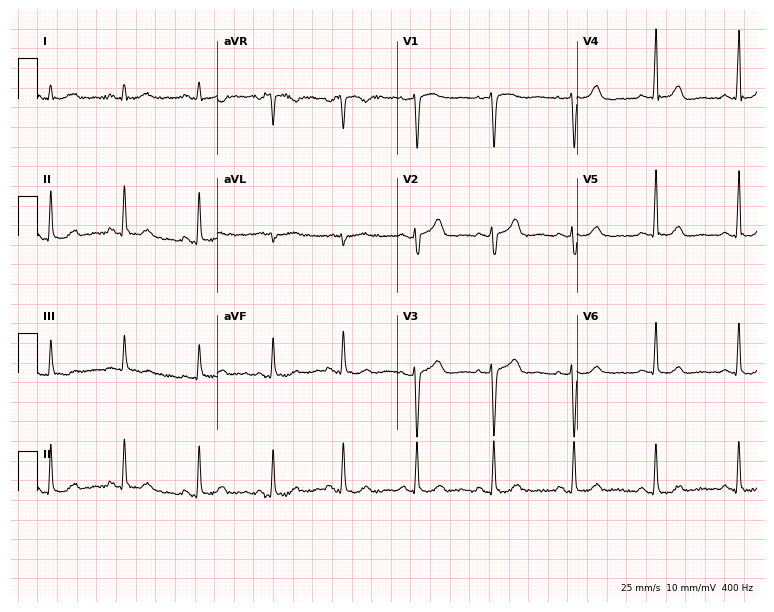
Standard 12-lead ECG recorded from a 30-year-old woman (7.3-second recording at 400 Hz). Read as a normal ECG.